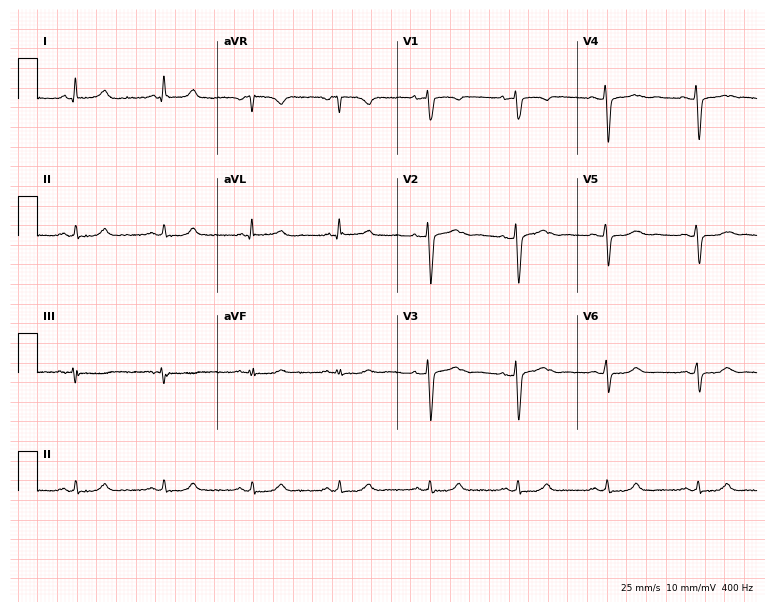
Resting 12-lead electrocardiogram (7.3-second recording at 400 Hz). Patient: a 41-year-old female. None of these six findings is recorded: first-degree AV block, right bundle branch block, left bundle branch block, sinus bradycardia, atrial fibrillation, sinus tachycardia. Findings outside these six are not listed.